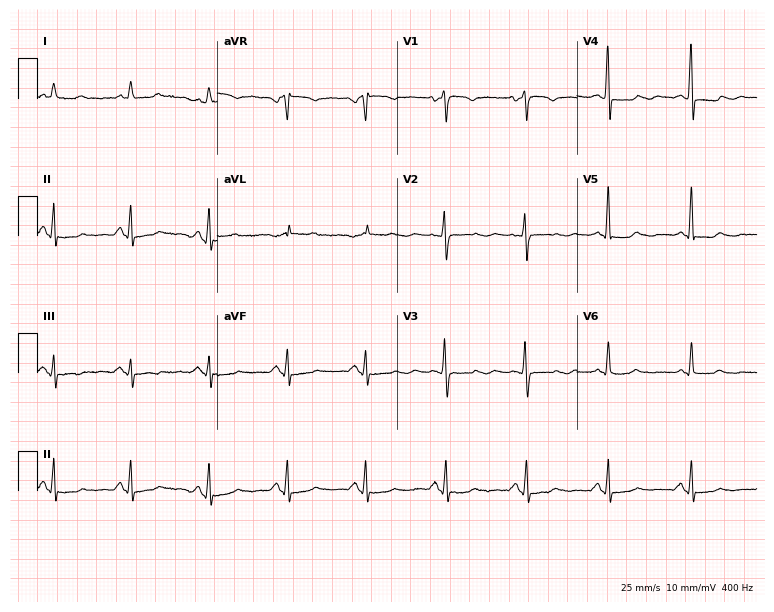
12-lead ECG from a female patient, 55 years old. Screened for six findings — first-degree AV block, right bundle branch block (RBBB), left bundle branch block (LBBB), sinus bradycardia, atrial fibrillation (AF), sinus tachycardia — none is recorded. Findings outside these six are not listed.